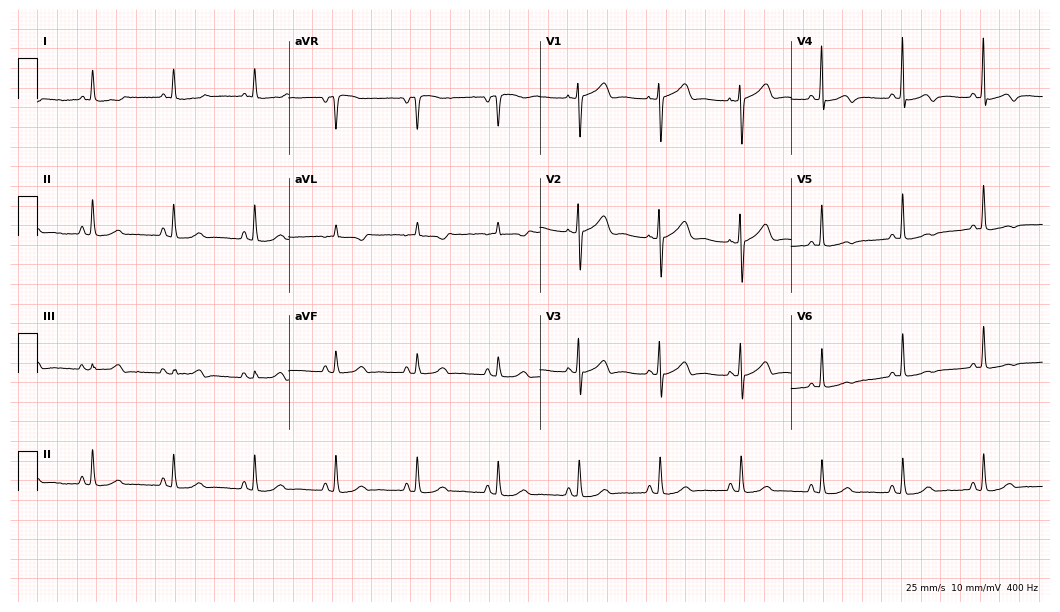
ECG — a 64-year-old woman. Screened for six findings — first-degree AV block, right bundle branch block, left bundle branch block, sinus bradycardia, atrial fibrillation, sinus tachycardia — none is recorded.